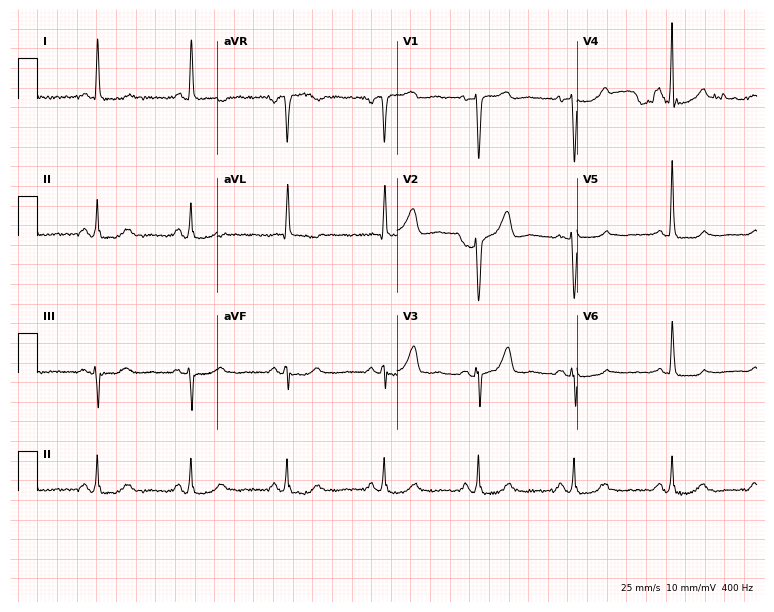
12-lead ECG from a woman, 80 years old (7.3-second recording at 400 Hz). No first-degree AV block, right bundle branch block, left bundle branch block, sinus bradycardia, atrial fibrillation or sinus tachycardia recorded for this tracing. Only these six findings were labelled.